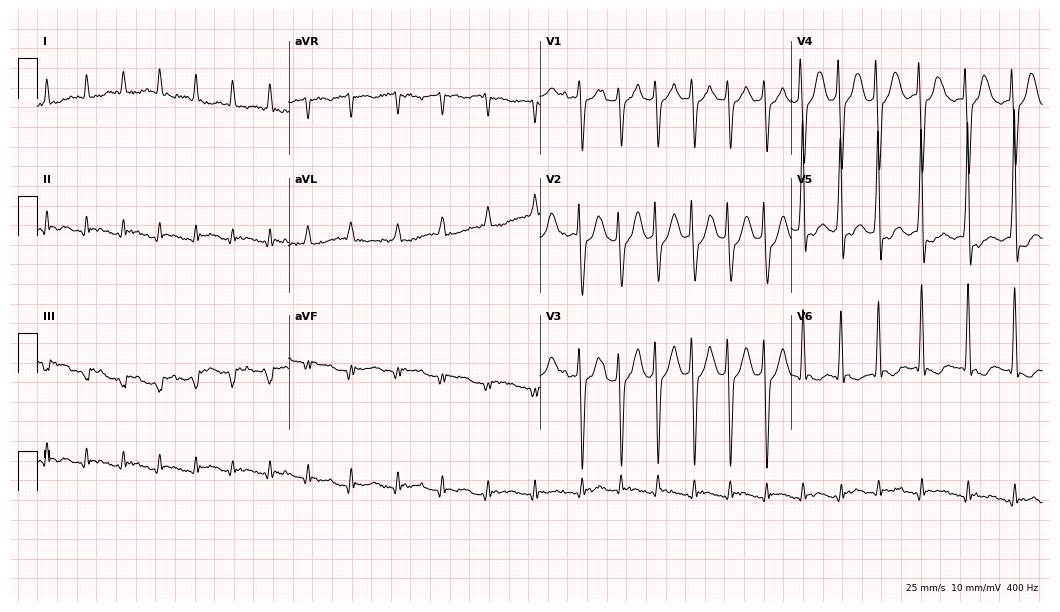
Electrocardiogram, an 81-year-old female patient. Of the six screened findings (first-degree AV block, right bundle branch block, left bundle branch block, sinus bradycardia, atrial fibrillation, sinus tachycardia), none is recorded.